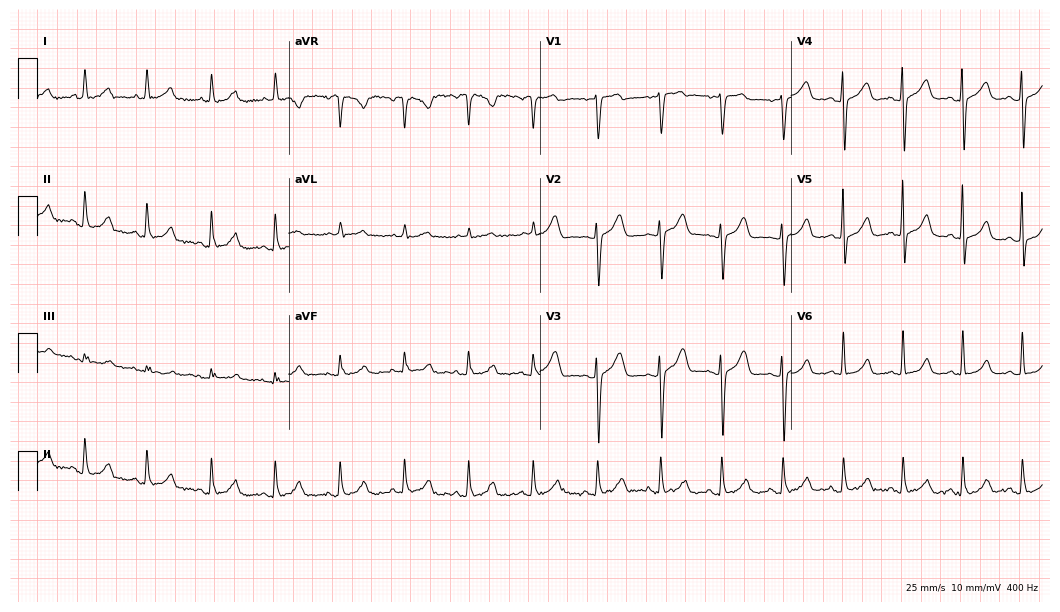
ECG — a female, 41 years old. Screened for six findings — first-degree AV block, right bundle branch block, left bundle branch block, sinus bradycardia, atrial fibrillation, sinus tachycardia — none is recorded. Only these six findings were labelled.